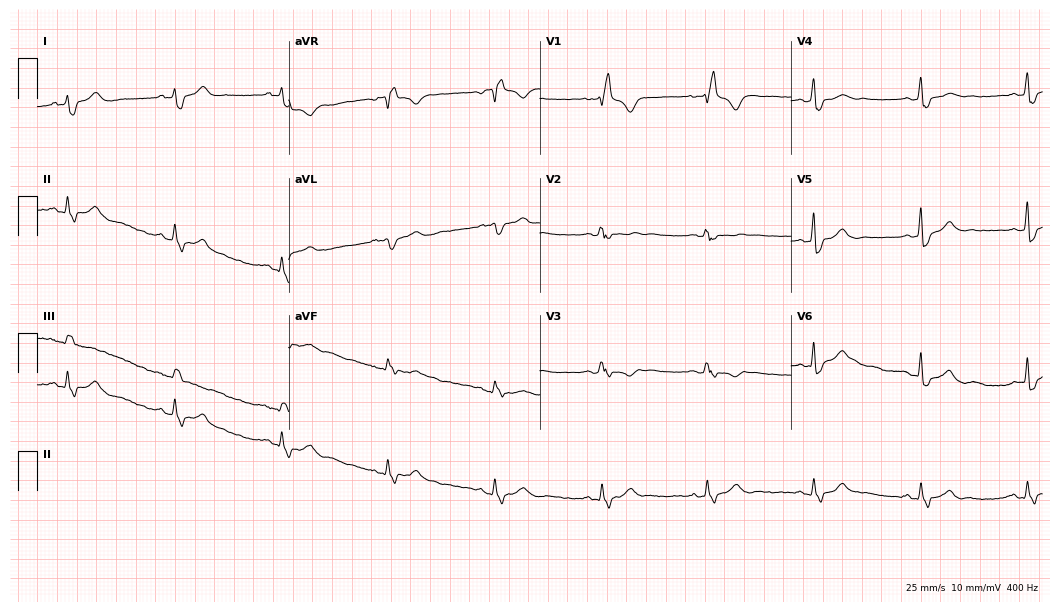
Resting 12-lead electrocardiogram. Patient: a female, 43 years old. The tracing shows right bundle branch block.